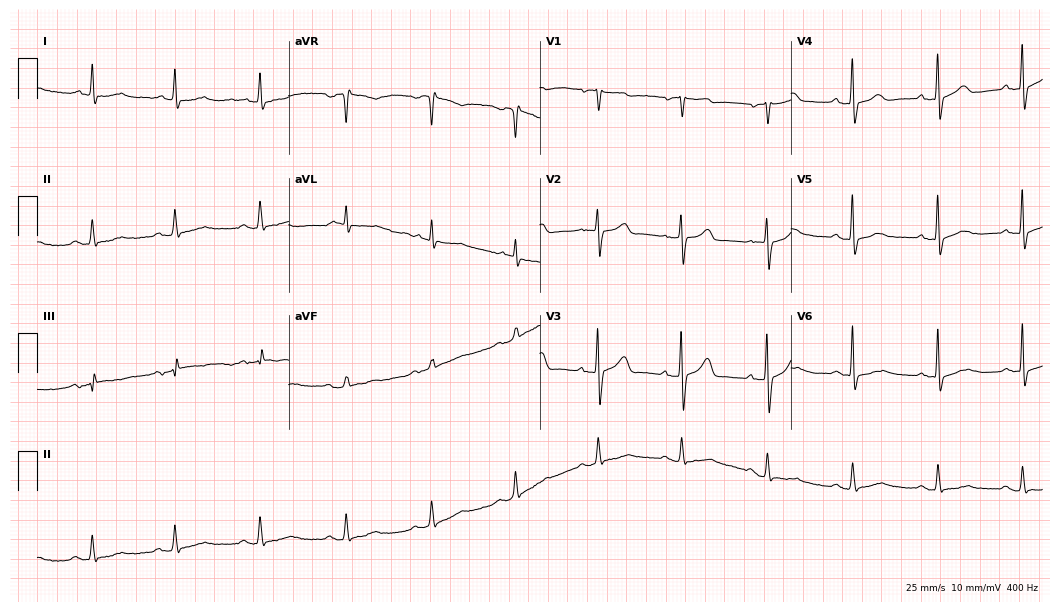
12-lead ECG from a man, 86 years old. Labelled as a normal ECG.